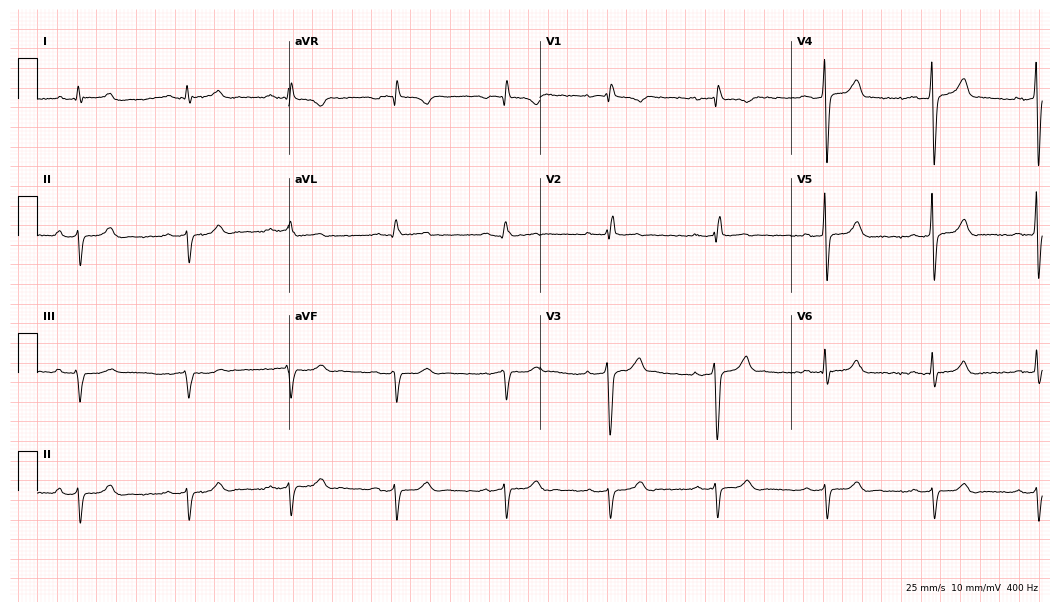
Electrocardiogram, a 30-year-old male patient. Of the six screened findings (first-degree AV block, right bundle branch block, left bundle branch block, sinus bradycardia, atrial fibrillation, sinus tachycardia), none is recorded. Findings outside these six are not listed.